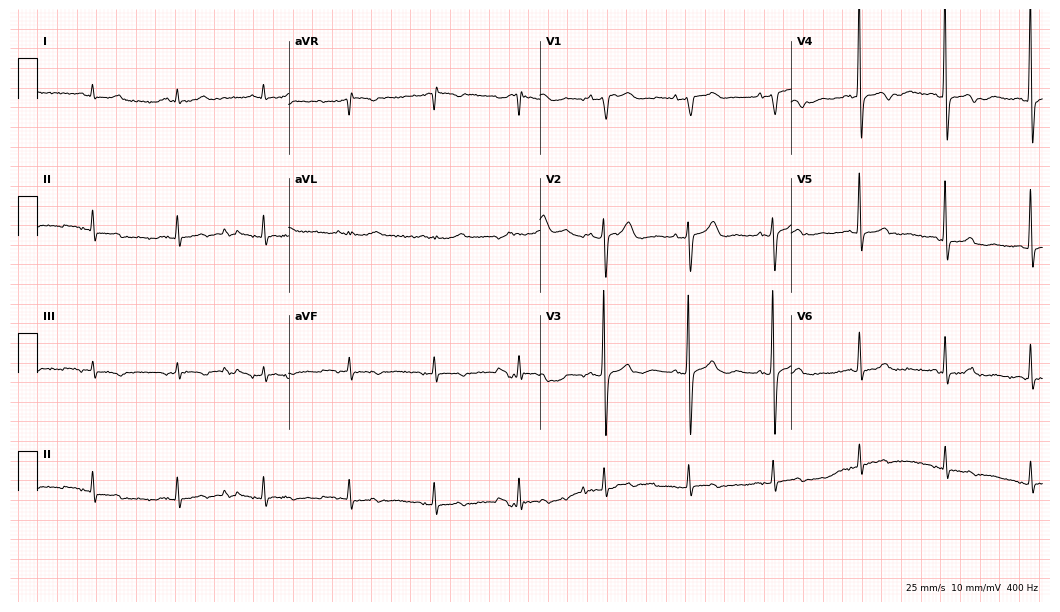
Electrocardiogram, a female, 84 years old. Of the six screened findings (first-degree AV block, right bundle branch block, left bundle branch block, sinus bradycardia, atrial fibrillation, sinus tachycardia), none is recorded.